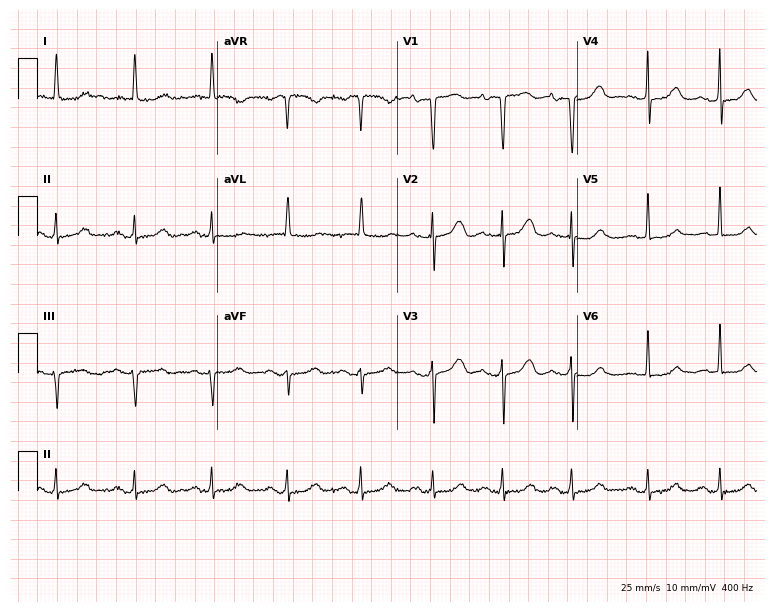
Resting 12-lead electrocardiogram. Patient: a woman, 81 years old. Read as a normal ECG.